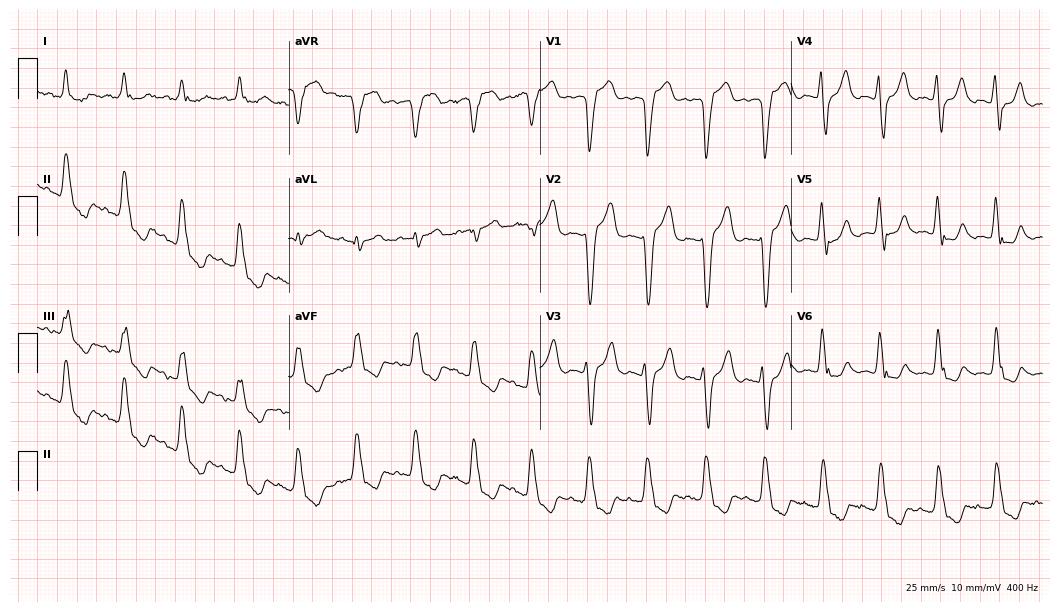
ECG — a 66-year-old woman. Findings include left bundle branch block (LBBB).